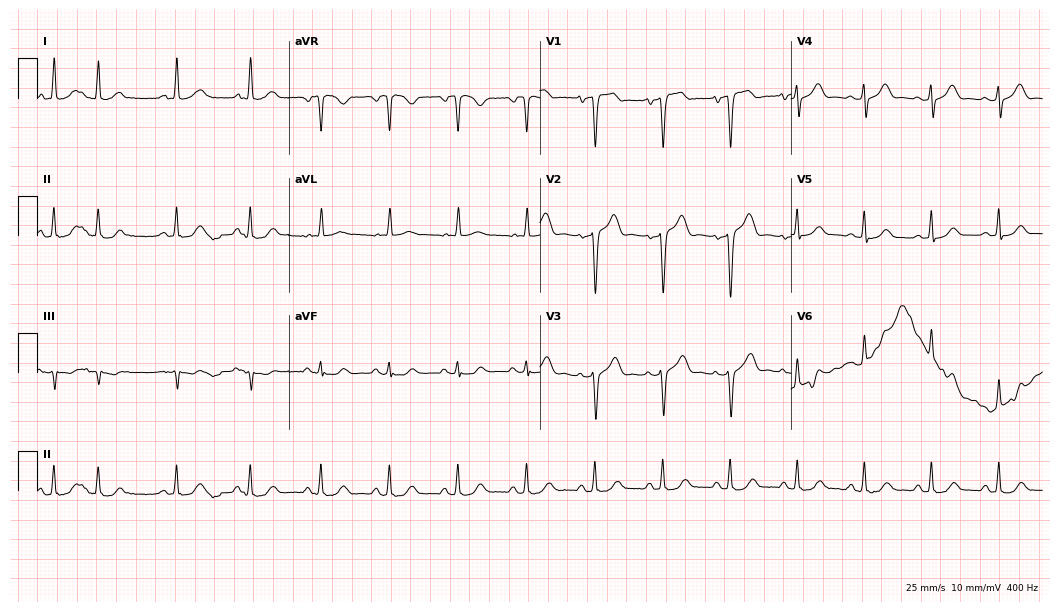
Resting 12-lead electrocardiogram (10.2-second recording at 400 Hz). Patient: a woman, 85 years old. Read as a normal ECG.